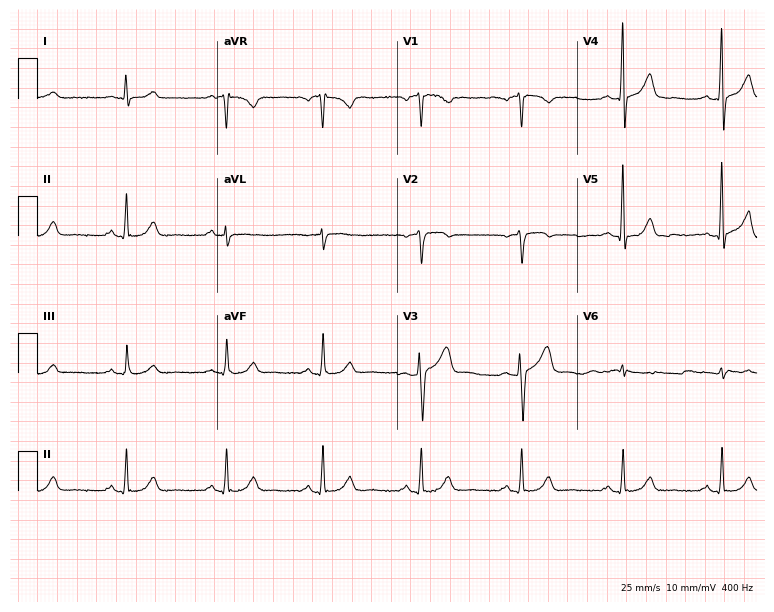
Standard 12-lead ECG recorded from a 72-year-old male patient. None of these six findings is recorded: first-degree AV block, right bundle branch block, left bundle branch block, sinus bradycardia, atrial fibrillation, sinus tachycardia.